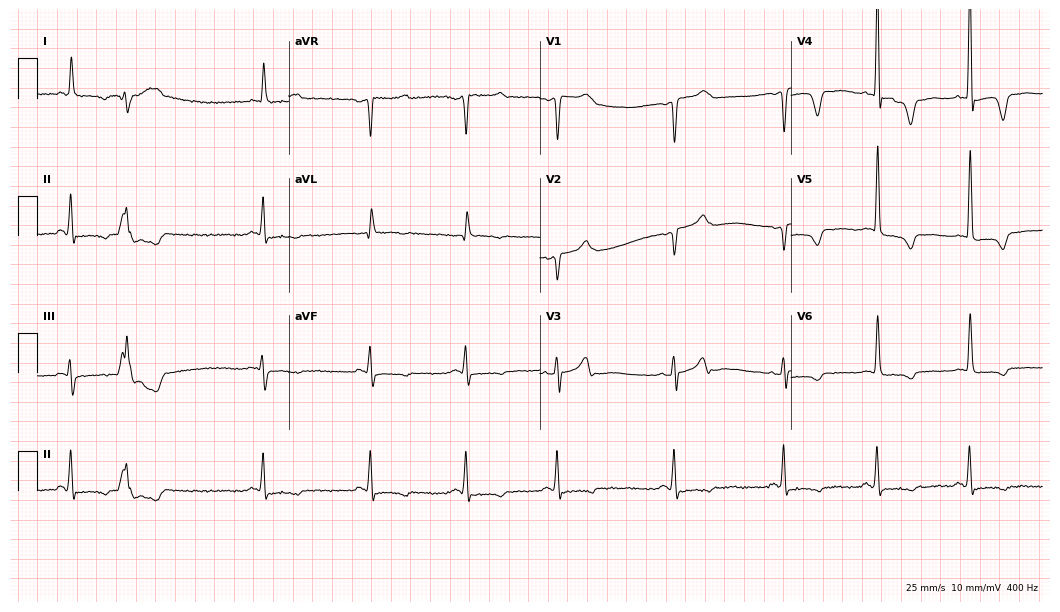
Electrocardiogram, a male, 85 years old. Of the six screened findings (first-degree AV block, right bundle branch block (RBBB), left bundle branch block (LBBB), sinus bradycardia, atrial fibrillation (AF), sinus tachycardia), none is recorded. Other findings, if any, are not listed.